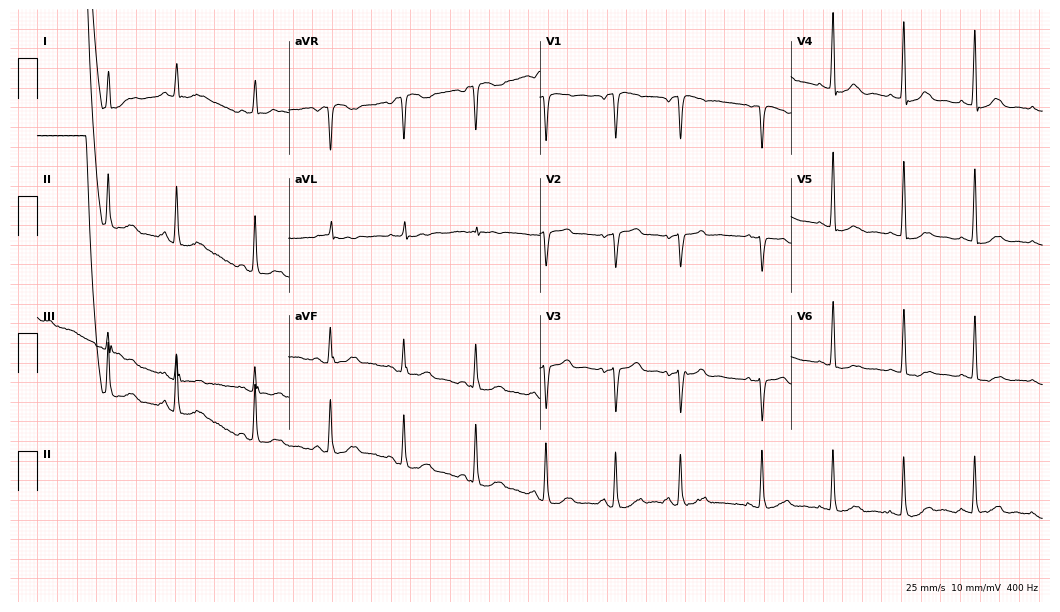
12-lead ECG (10.2-second recording at 400 Hz) from a female, 77 years old. Screened for six findings — first-degree AV block, right bundle branch block, left bundle branch block, sinus bradycardia, atrial fibrillation, sinus tachycardia — none is recorded. Only these six findings were labelled.